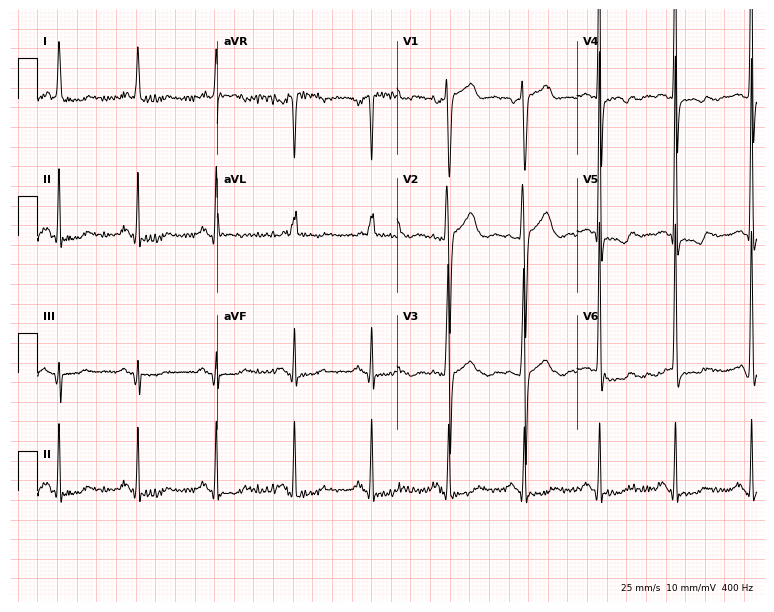
12-lead ECG (7.3-second recording at 400 Hz) from a 68-year-old man. Screened for six findings — first-degree AV block, right bundle branch block, left bundle branch block, sinus bradycardia, atrial fibrillation, sinus tachycardia — none is recorded.